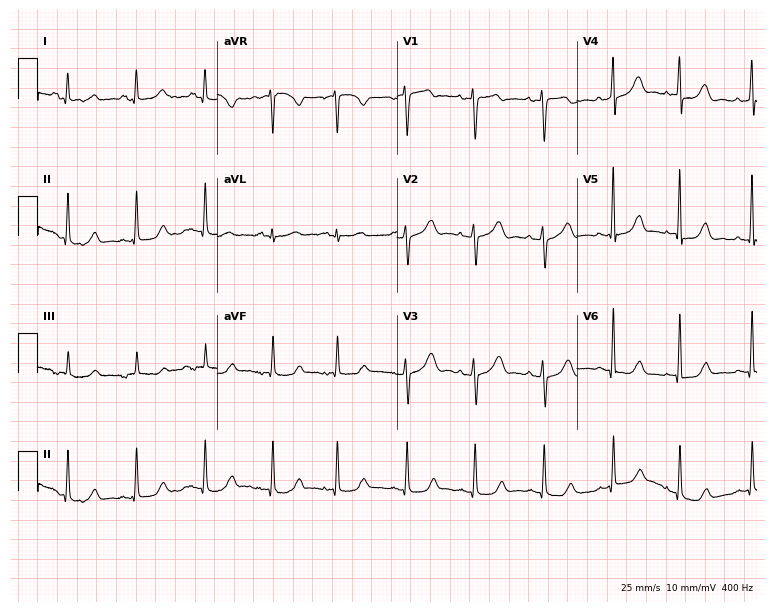
12-lead ECG from a 46-year-old female patient. Labelled as a normal ECG.